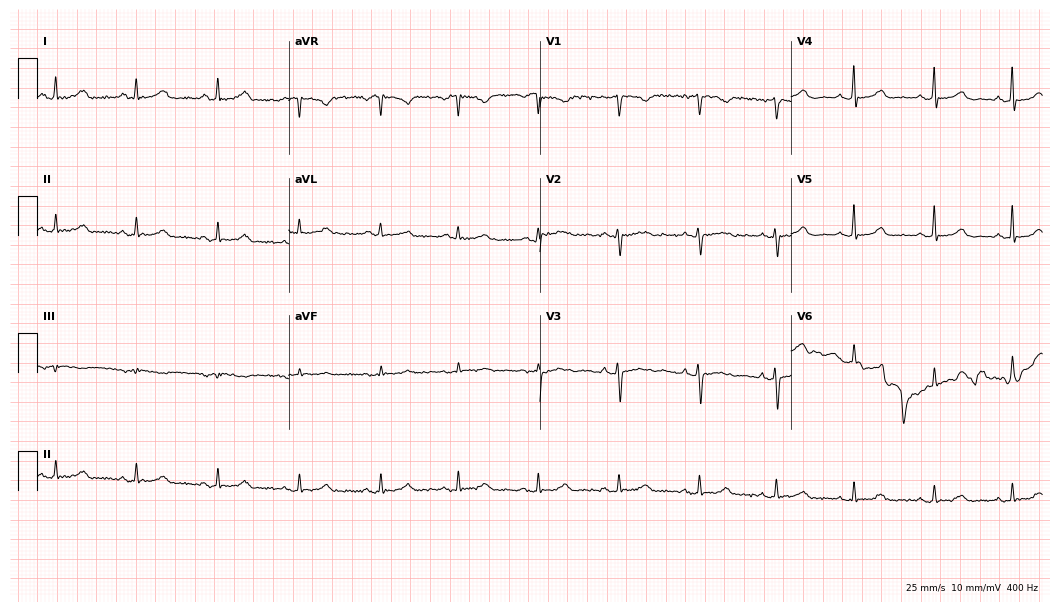
ECG (10.2-second recording at 400 Hz) — a 50-year-old female. Labelled as a normal ECG.